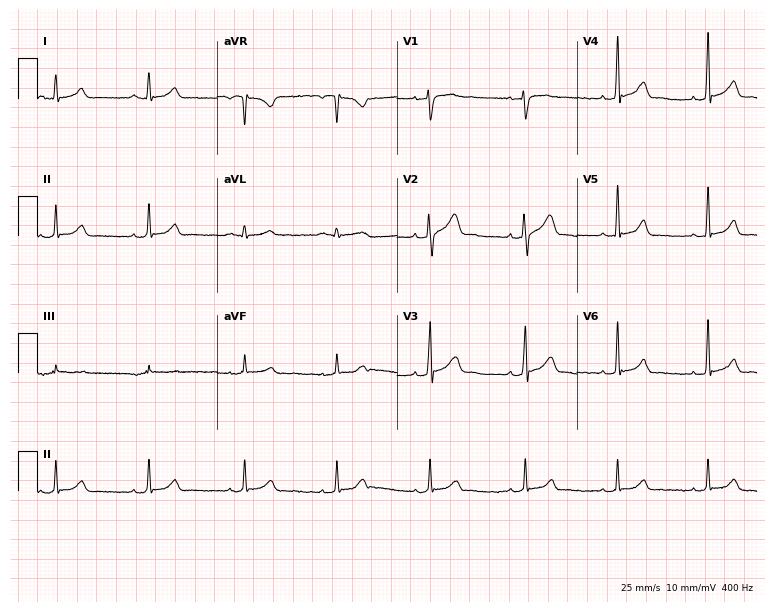
12-lead ECG from a man, 47 years old. Recorded interpretation: within normal limits.